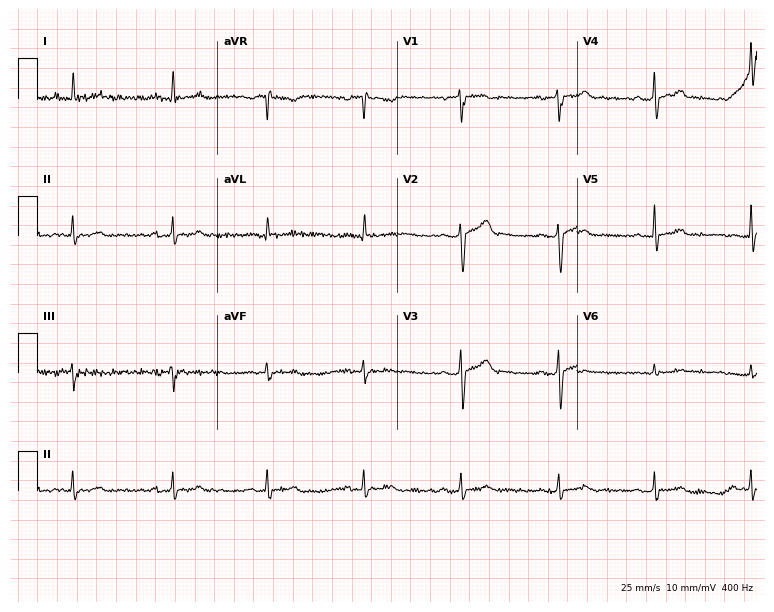
Resting 12-lead electrocardiogram (7.3-second recording at 400 Hz). Patient: a male, 40 years old. None of these six findings is recorded: first-degree AV block, right bundle branch block, left bundle branch block, sinus bradycardia, atrial fibrillation, sinus tachycardia. Findings outside these six are not listed.